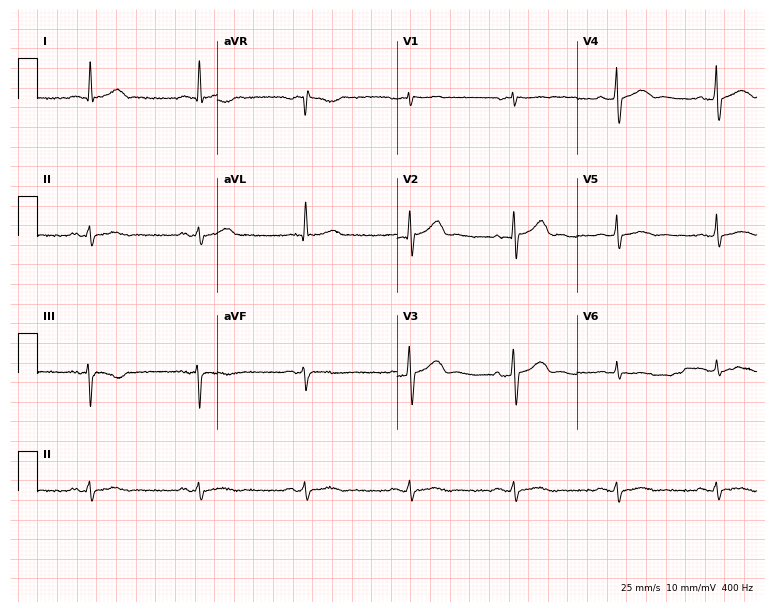
Electrocardiogram (7.3-second recording at 400 Hz), a male, 69 years old. Overall reading on record: normal ECG.